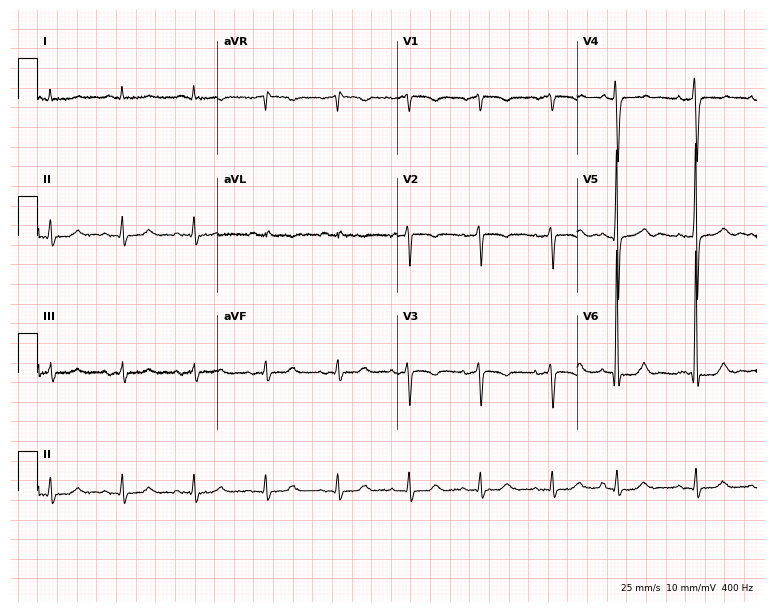
12-lead ECG from a 72-year-old male (7.3-second recording at 400 Hz). No first-degree AV block, right bundle branch block, left bundle branch block, sinus bradycardia, atrial fibrillation or sinus tachycardia recorded for this tracing. Findings outside these six are not listed.